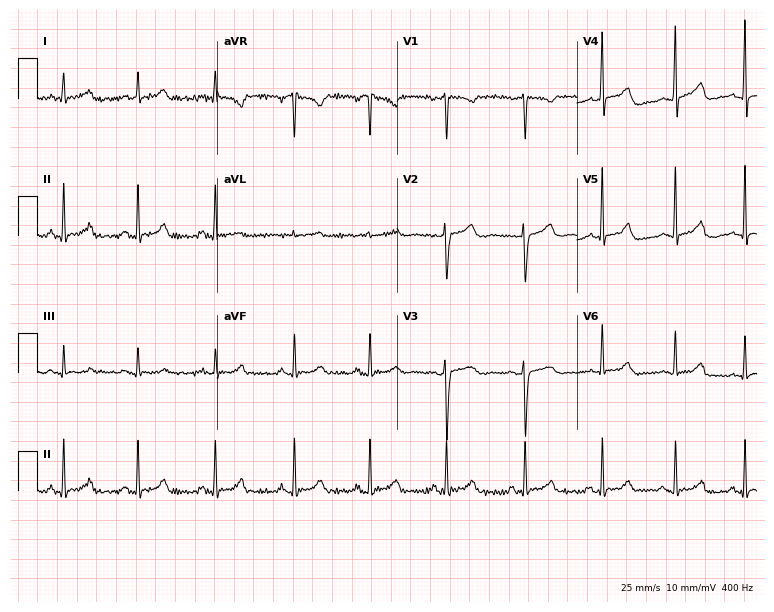
ECG — a female patient, 37 years old. Labelled as a normal ECG.